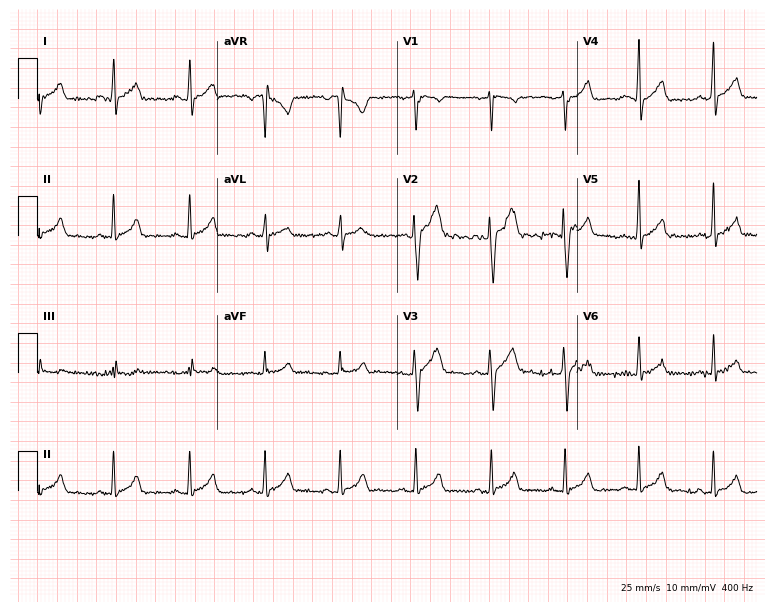
Standard 12-lead ECG recorded from a 36-year-old male patient (7.3-second recording at 400 Hz). Read as a normal ECG.